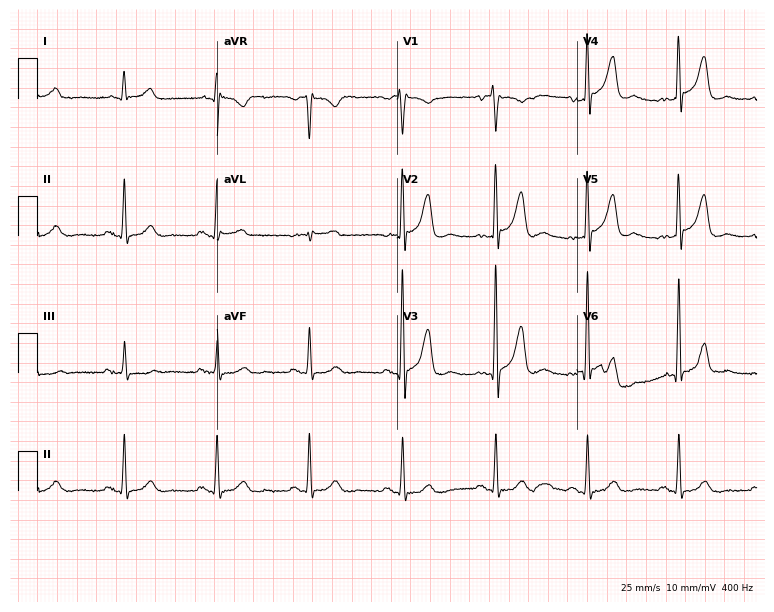
12-lead ECG (7.3-second recording at 400 Hz) from a man, 71 years old. Labelled as a normal ECG.